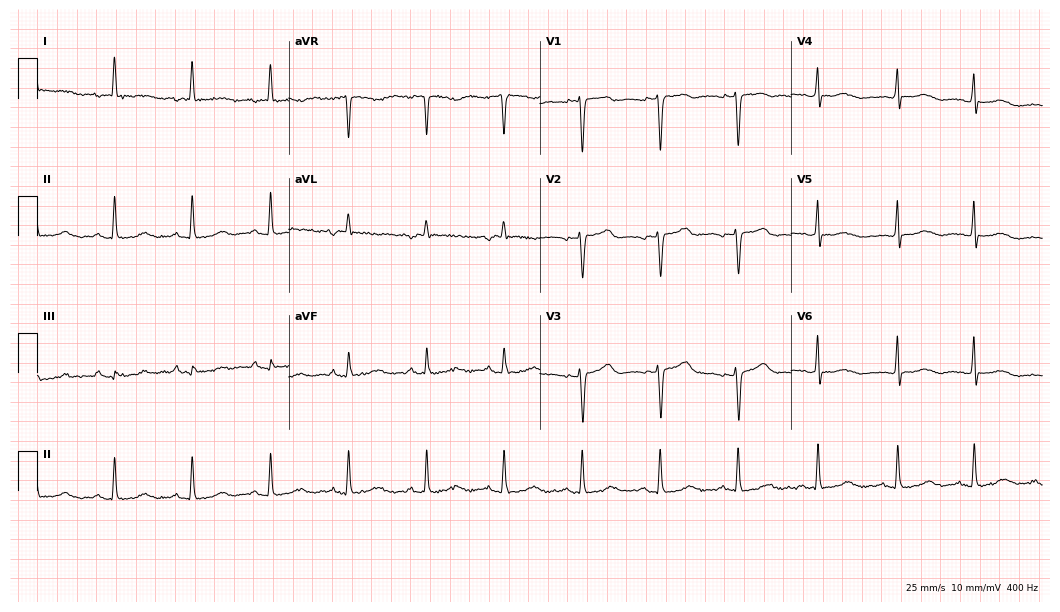
Resting 12-lead electrocardiogram (10.2-second recording at 400 Hz). Patient: a woman, 39 years old. None of these six findings is recorded: first-degree AV block, right bundle branch block, left bundle branch block, sinus bradycardia, atrial fibrillation, sinus tachycardia.